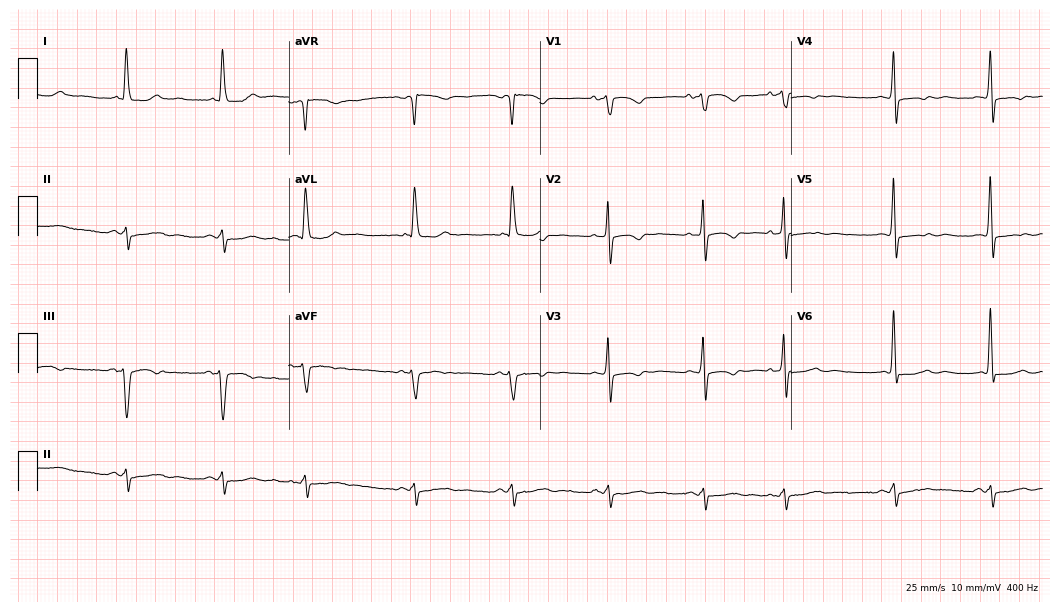
Resting 12-lead electrocardiogram. Patient: an 83-year-old female. None of these six findings is recorded: first-degree AV block, right bundle branch block, left bundle branch block, sinus bradycardia, atrial fibrillation, sinus tachycardia.